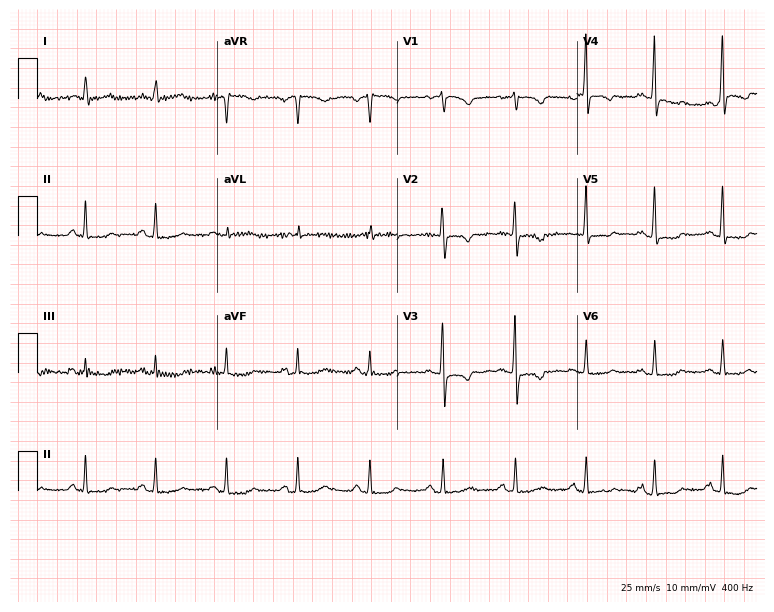
ECG (7.3-second recording at 400 Hz) — a 55-year-old female patient. Screened for six findings — first-degree AV block, right bundle branch block (RBBB), left bundle branch block (LBBB), sinus bradycardia, atrial fibrillation (AF), sinus tachycardia — none is recorded.